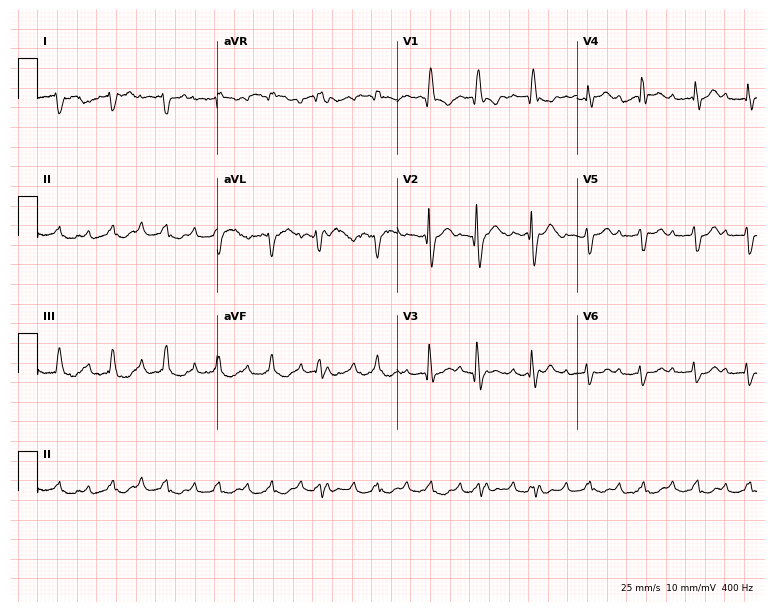
Standard 12-lead ECG recorded from a 74-year-old male (7.3-second recording at 400 Hz). The tracing shows first-degree AV block, sinus tachycardia (a sinus rate of 100 beats per minute or more).